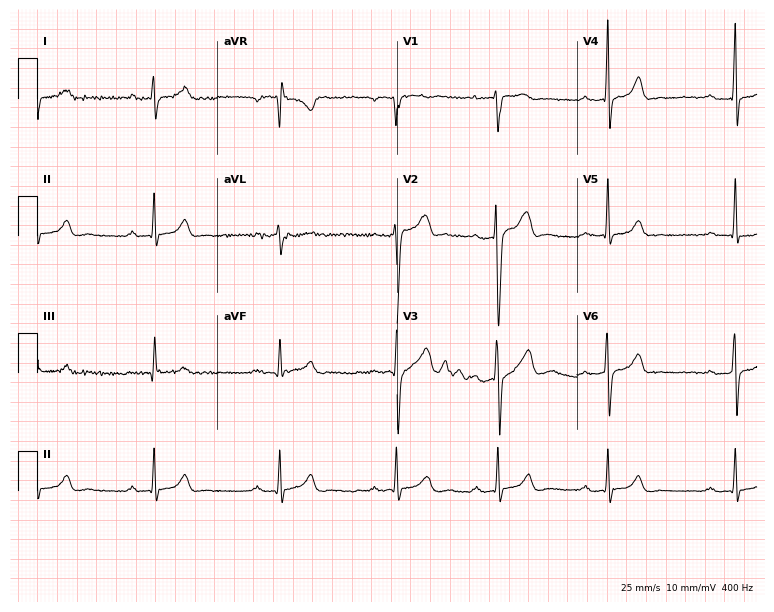
Resting 12-lead electrocardiogram (7.3-second recording at 400 Hz). Patient: a male, 27 years old. The tracing shows first-degree AV block.